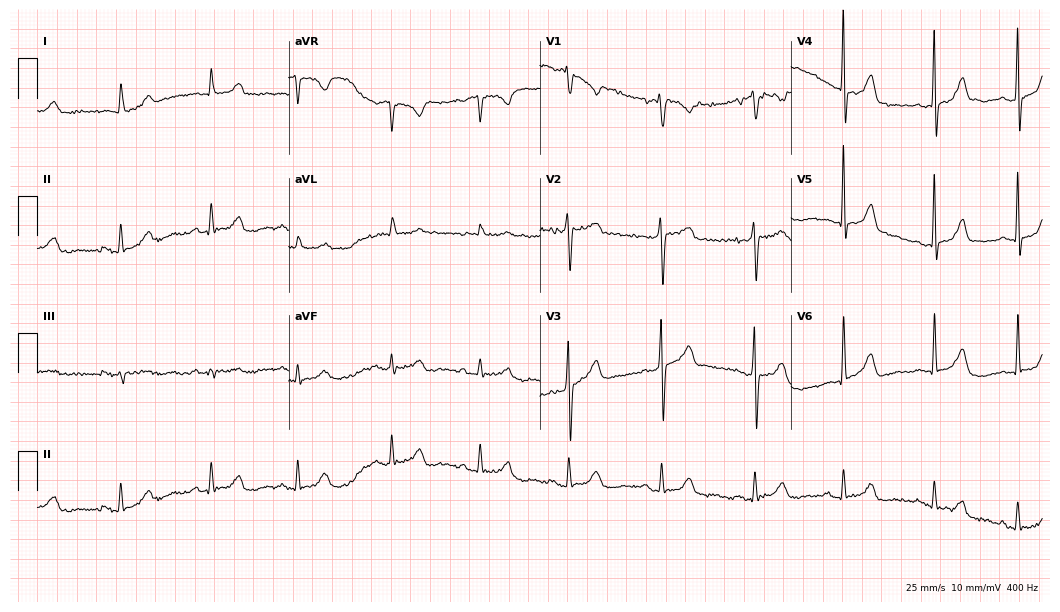
Resting 12-lead electrocardiogram. Patient: an 80-year-old male. Read as a normal ECG.